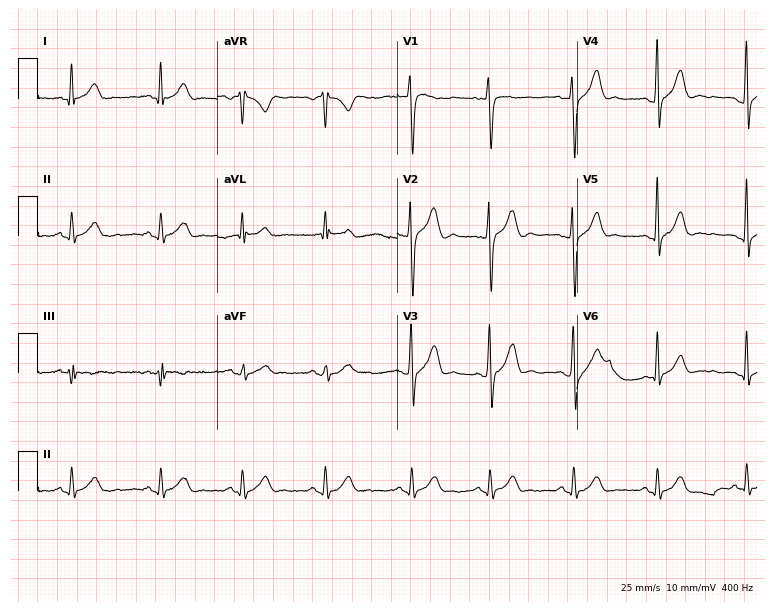
Resting 12-lead electrocardiogram. Patient: a male, 25 years old. Read as a normal ECG.